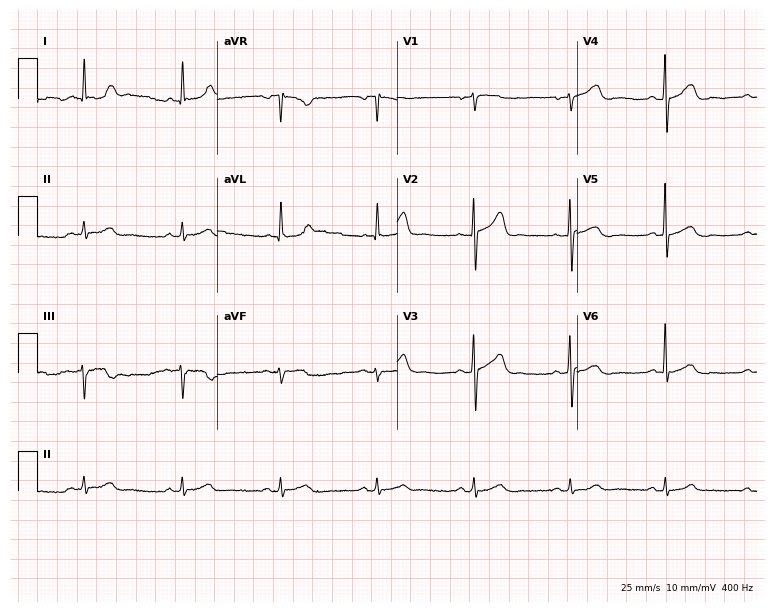
Resting 12-lead electrocardiogram. Patient: a man, 74 years old. Read as a normal ECG.